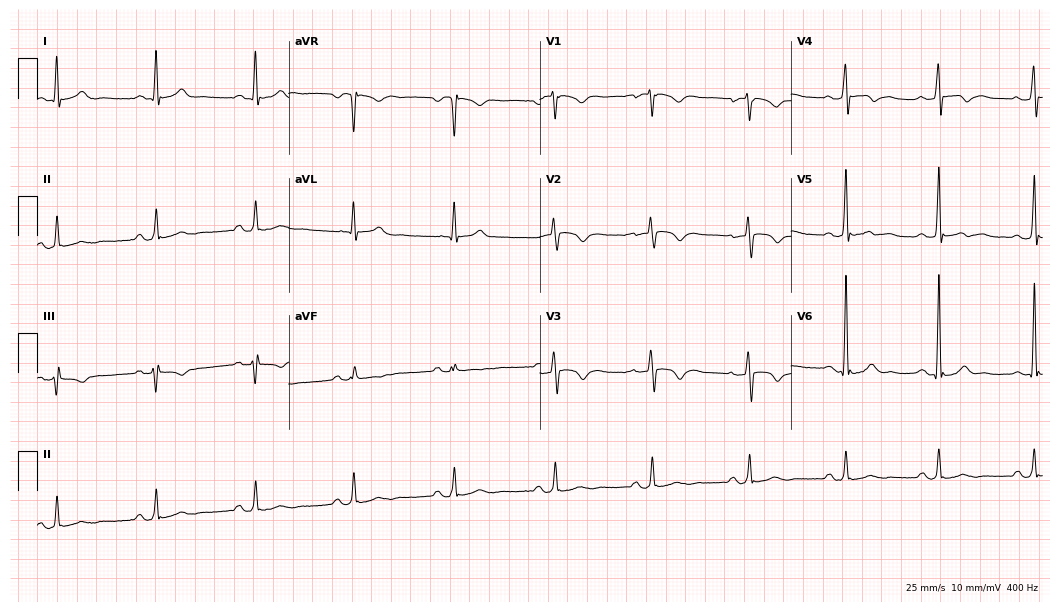
Resting 12-lead electrocardiogram. Patient: a 43-year-old woman. None of these six findings is recorded: first-degree AV block, right bundle branch block, left bundle branch block, sinus bradycardia, atrial fibrillation, sinus tachycardia. Findings outside these six are not listed.